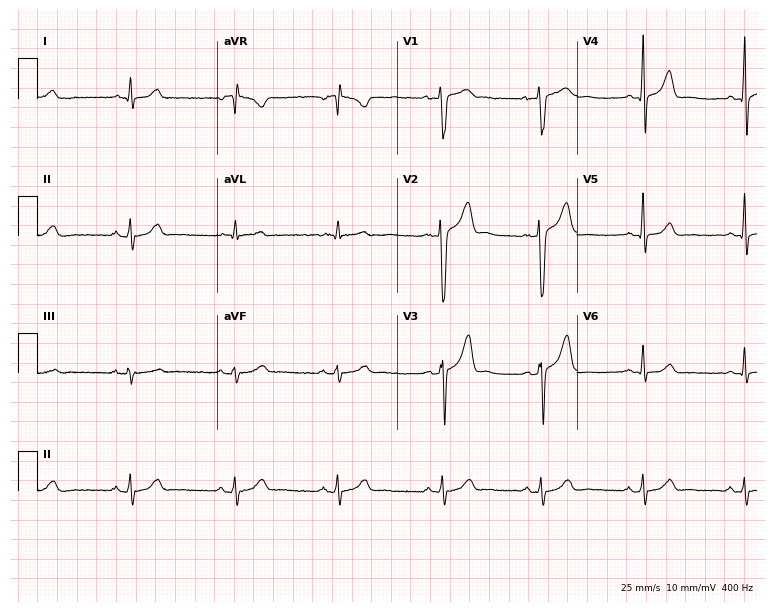
12-lead ECG (7.3-second recording at 400 Hz) from a male patient, 29 years old. Screened for six findings — first-degree AV block, right bundle branch block (RBBB), left bundle branch block (LBBB), sinus bradycardia, atrial fibrillation (AF), sinus tachycardia — none is recorded.